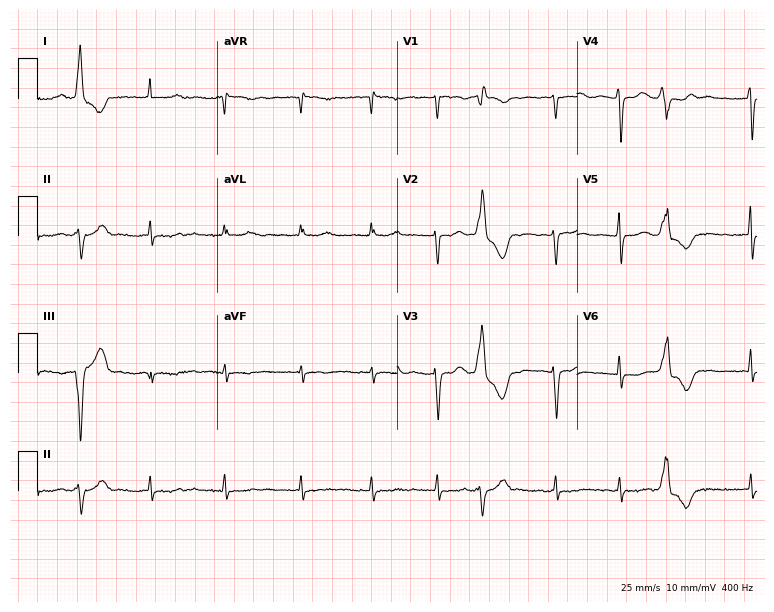
12-lead ECG from a 59-year-old female (7.3-second recording at 400 Hz). Shows atrial fibrillation.